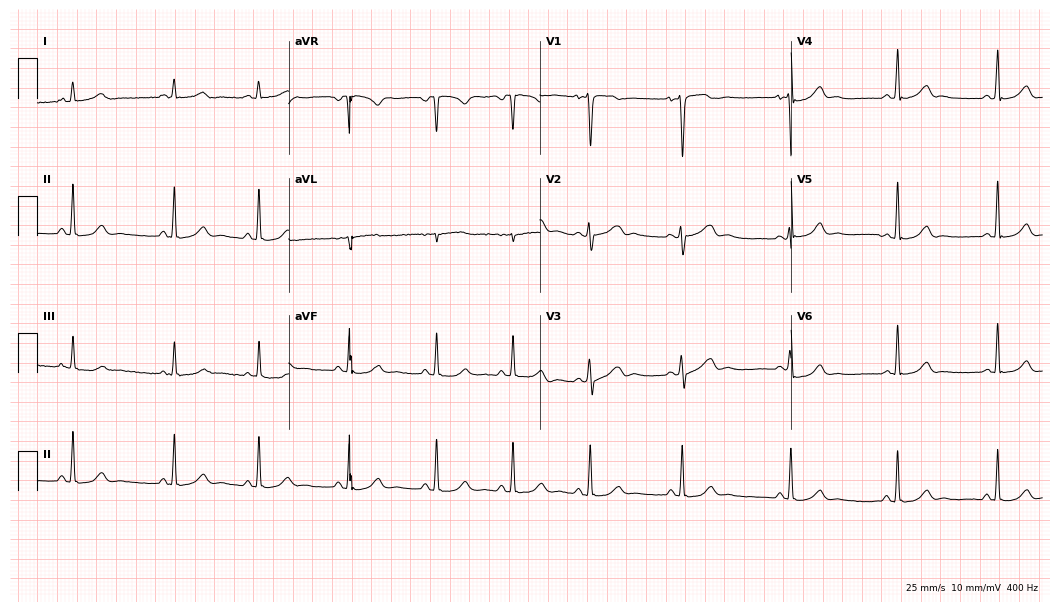
12-lead ECG from a female, 30 years old (10.2-second recording at 400 Hz). Recorded interpretation: within normal limits.